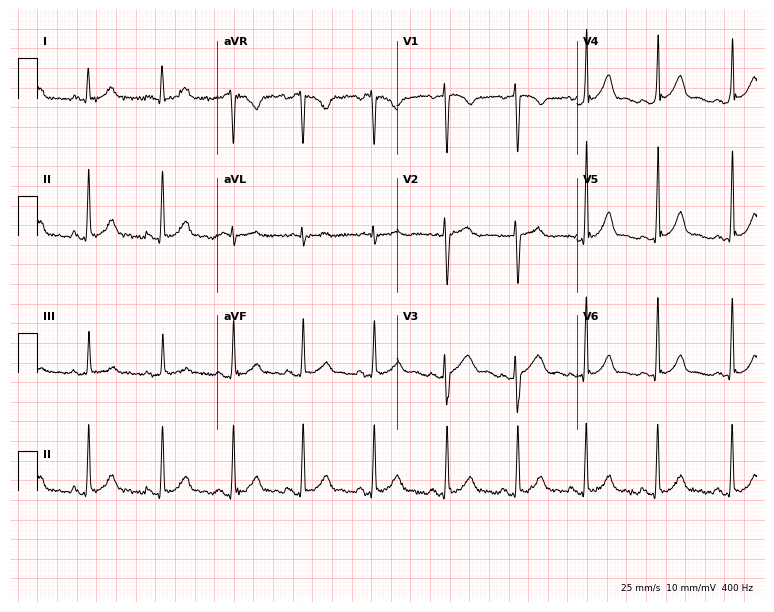
Resting 12-lead electrocardiogram. Patient: a female, 22 years old. Read as a normal ECG.